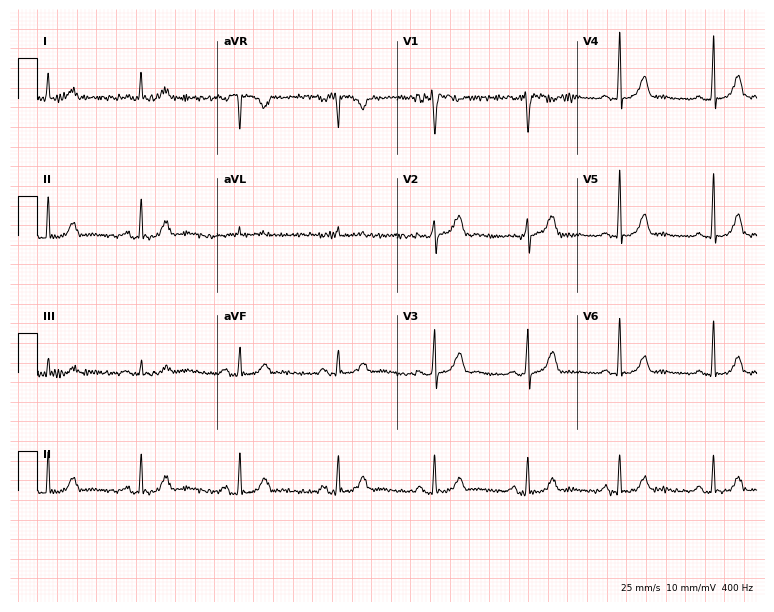
Resting 12-lead electrocardiogram (7.3-second recording at 400 Hz). Patient: a 45-year-old female. None of these six findings is recorded: first-degree AV block, right bundle branch block, left bundle branch block, sinus bradycardia, atrial fibrillation, sinus tachycardia. Only these six findings were labelled.